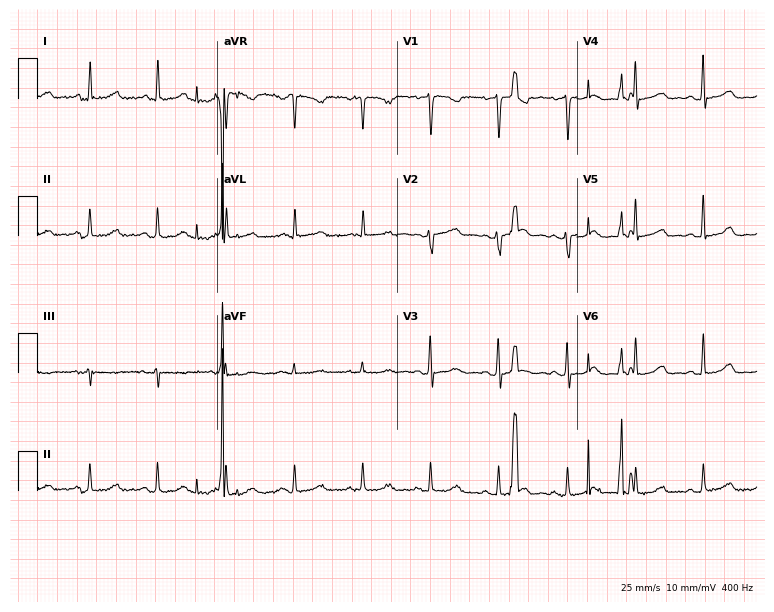
ECG (7.3-second recording at 400 Hz) — a 35-year-old female. Labelled as a normal ECG.